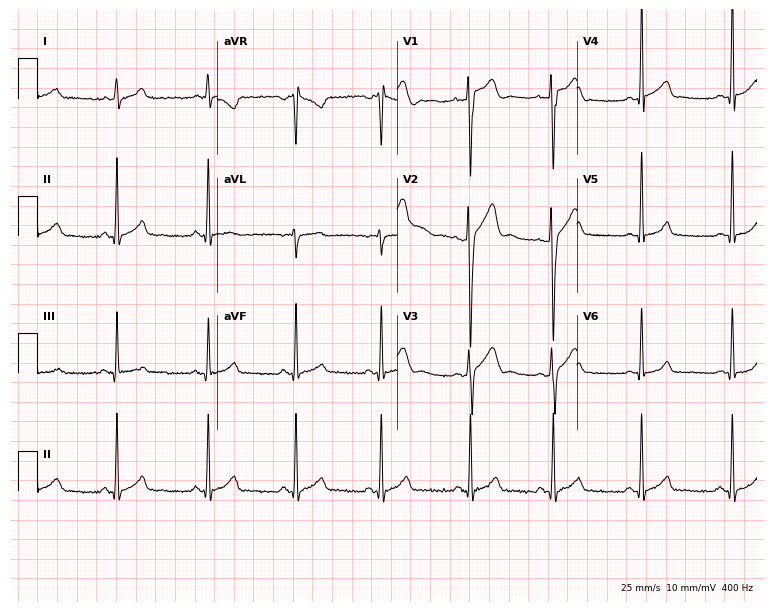
12-lead ECG from a 26-year-old woman (7.3-second recording at 400 Hz). Recorded interpretation: within normal limits.